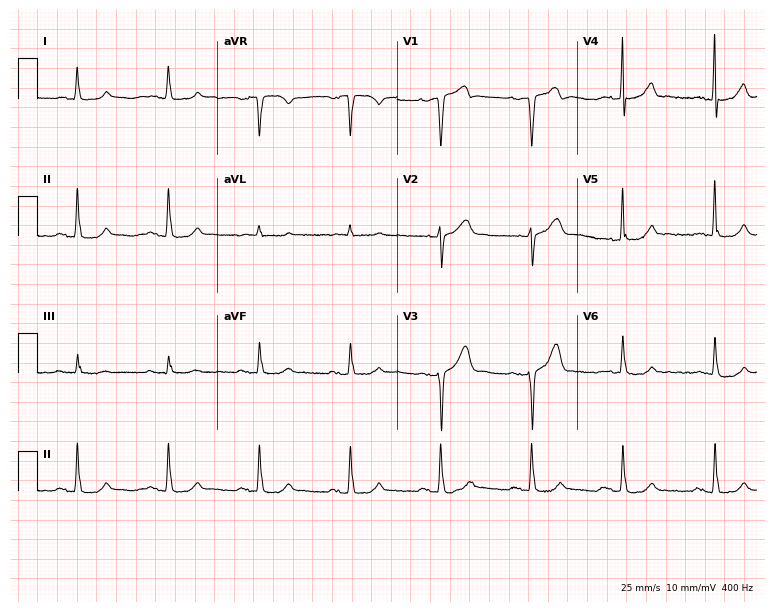
ECG (7.3-second recording at 400 Hz) — a man, 77 years old. Screened for six findings — first-degree AV block, right bundle branch block, left bundle branch block, sinus bradycardia, atrial fibrillation, sinus tachycardia — none is recorded.